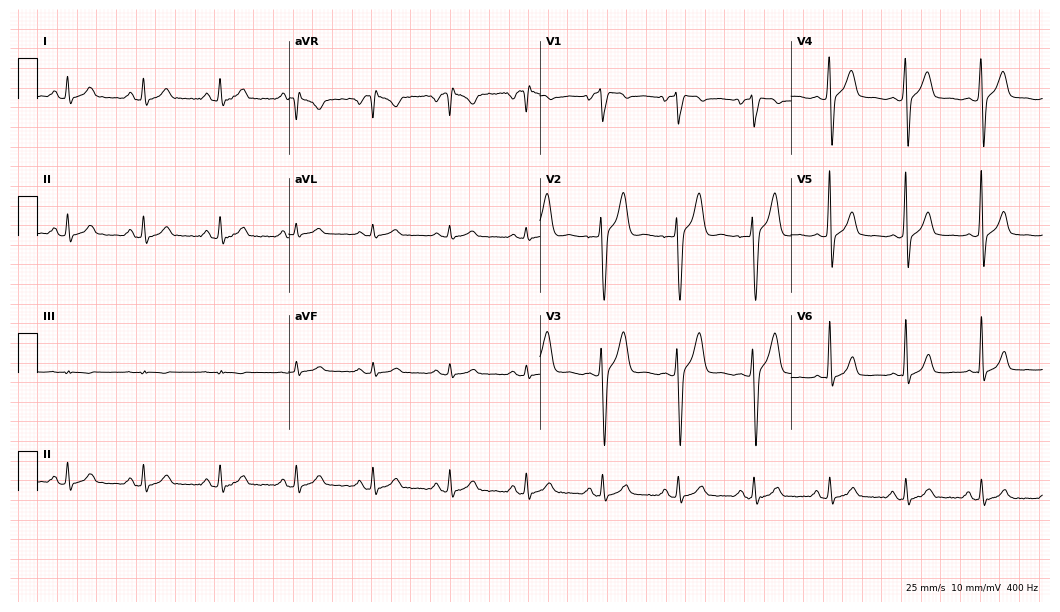
Standard 12-lead ECG recorded from a man, 36 years old (10.2-second recording at 400 Hz). Read as a normal ECG.